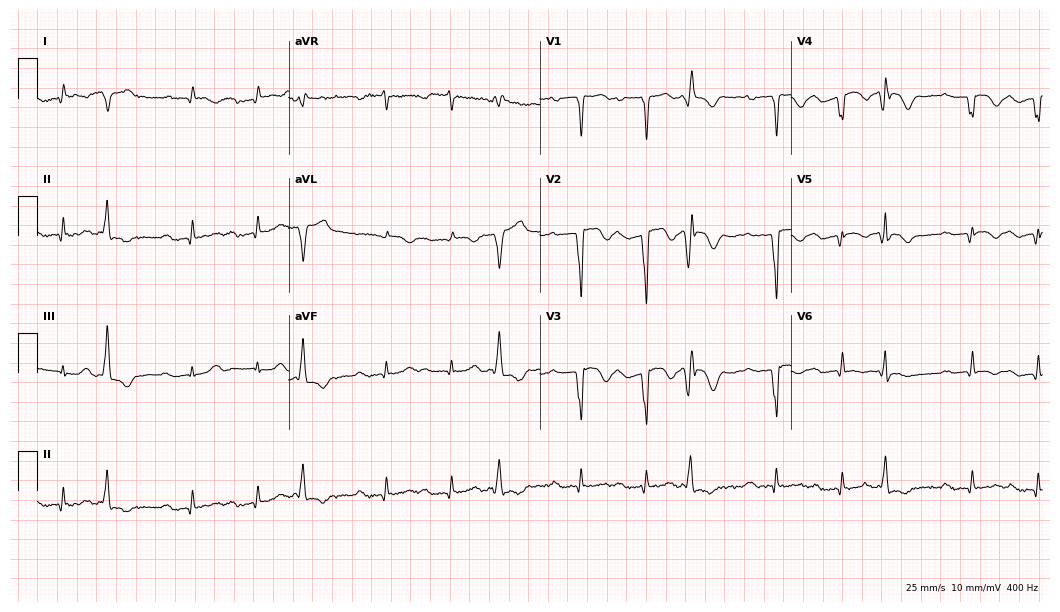
ECG (10.2-second recording at 400 Hz) — an 87-year-old male patient. Screened for six findings — first-degree AV block, right bundle branch block, left bundle branch block, sinus bradycardia, atrial fibrillation, sinus tachycardia — none is recorded.